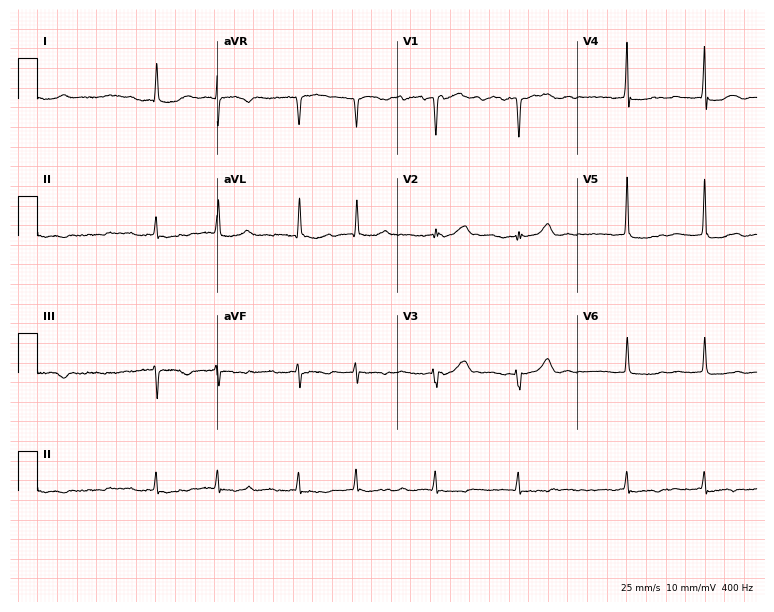
Standard 12-lead ECG recorded from a 74-year-old female patient (7.3-second recording at 400 Hz). None of these six findings is recorded: first-degree AV block, right bundle branch block, left bundle branch block, sinus bradycardia, atrial fibrillation, sinus tachycardia. Findings outside these six are not listed.